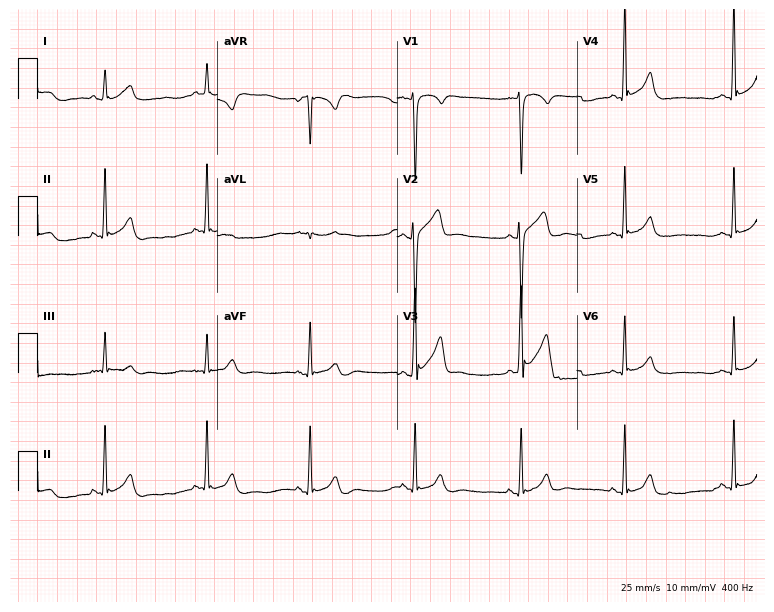
12-lead ECG from a 20-year-old male. Recorded interpretation: within normal limits.